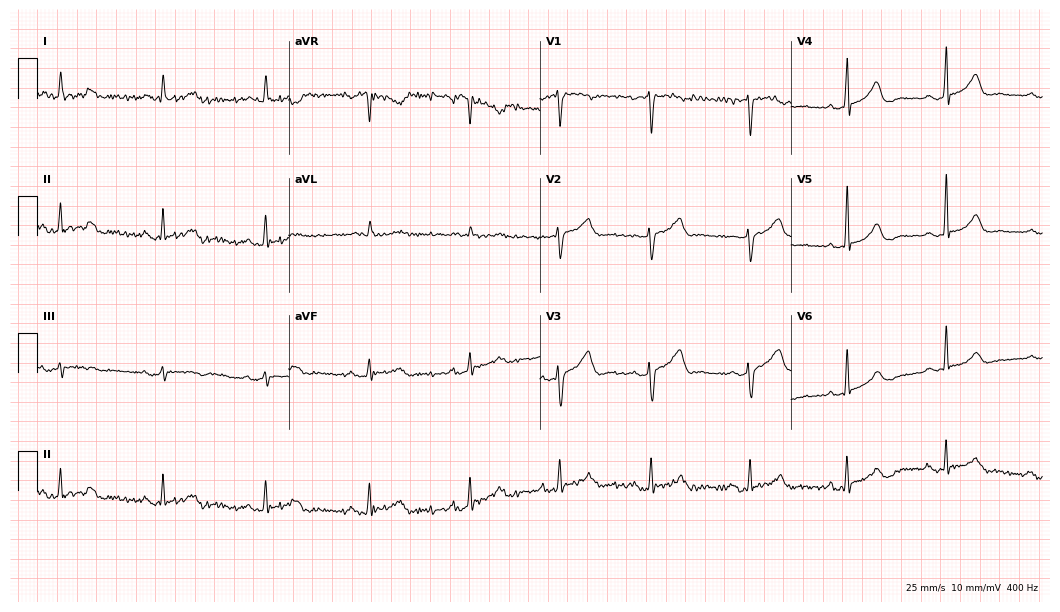
Standard 12-lead ECG recorded from a 42-year-old female patient. Read as a normal ECG.